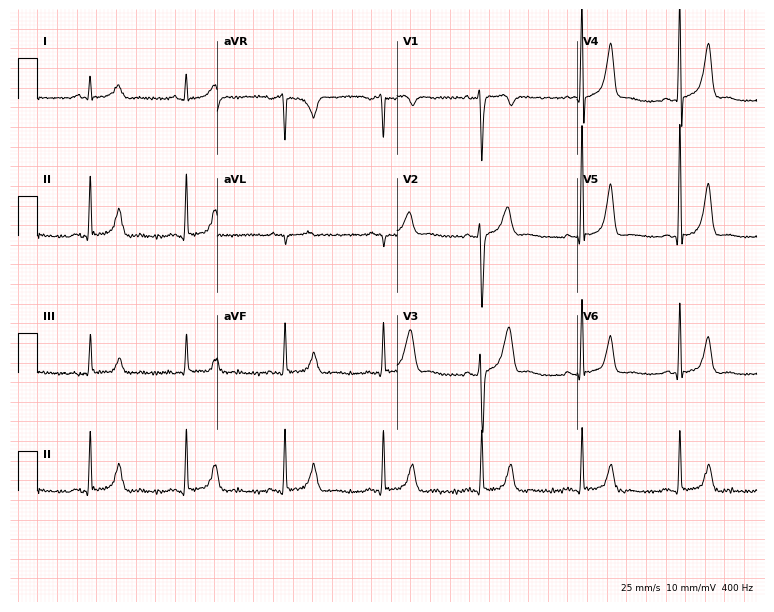
Resting 12-lead electrocardiogram (7.3-second recording at 400 Hz). Patient: a 49-year-old man. None of these six findings is recorded: first-degree AV block, right bundle branch block, left bundle branch block, sinus bradycardia, atrial fibrillation, sinus tachycardia.